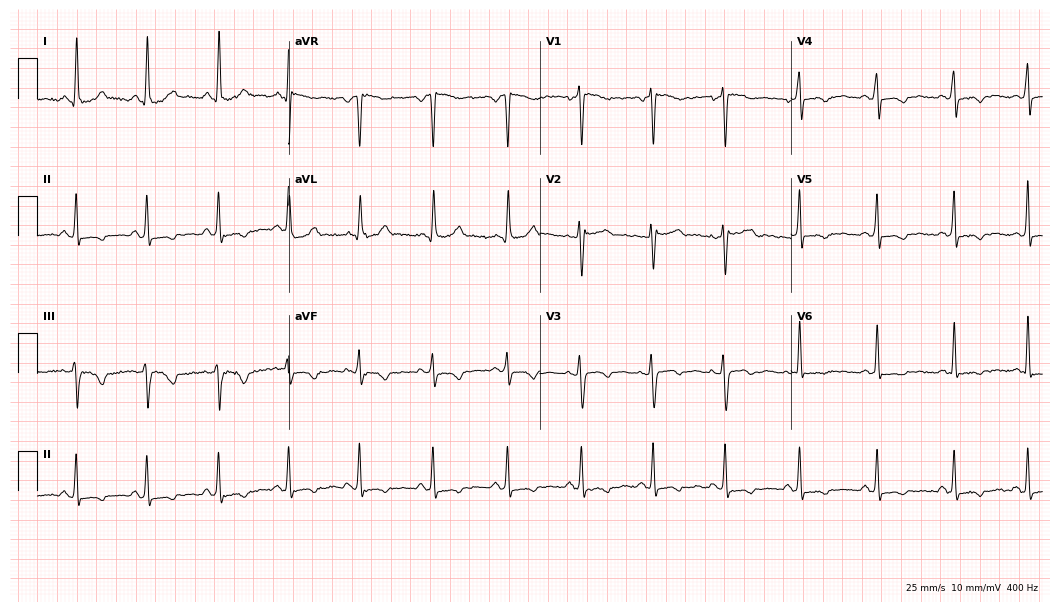
12-lead ECG from a female, 33 years old (10.2-second recording at 400 Hz). Recorded interpretation: within normal limits.